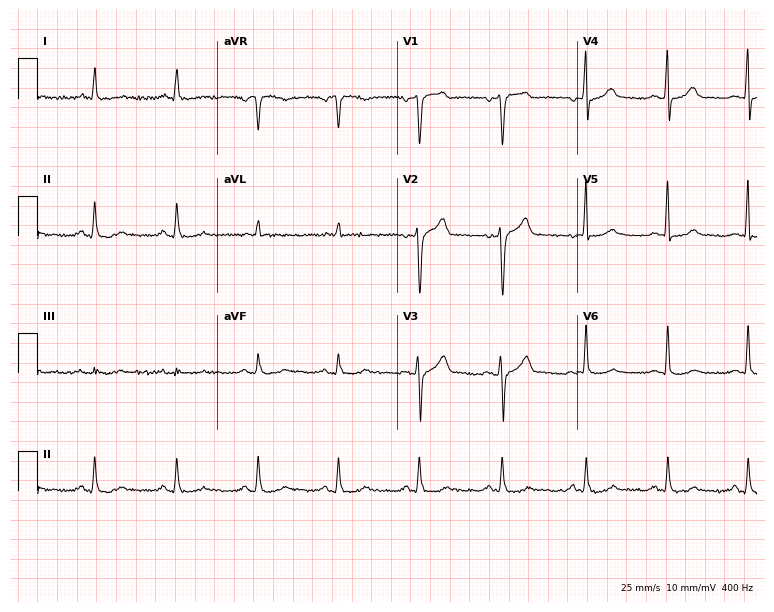
Resting 12-lead electrocardiogram (7.3-second recording at 400 Hz). Patient: a 44-year-old man. Read as a normal ECG.